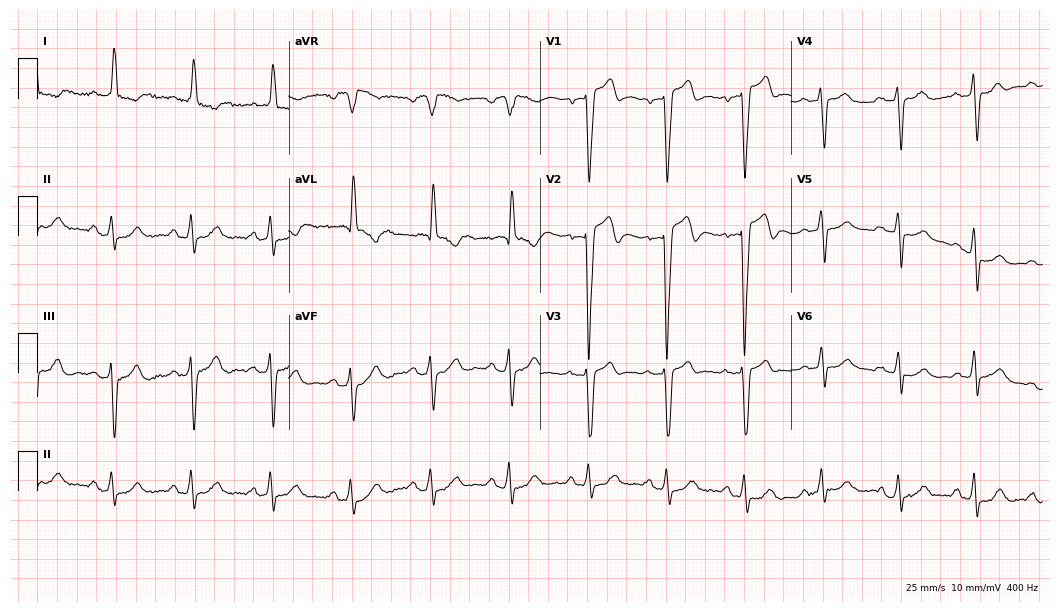
Standard 12-lead ECG recorded from a 71-year-old man (10.2-second recording at 400 Hz). None of these six findings is recorded: first-degree AV block, right bundle branch block (RBBB), left bundle branch block (LBBB), sinus bradycardia, atrial fibrillation (AF), sinus tachycardia.